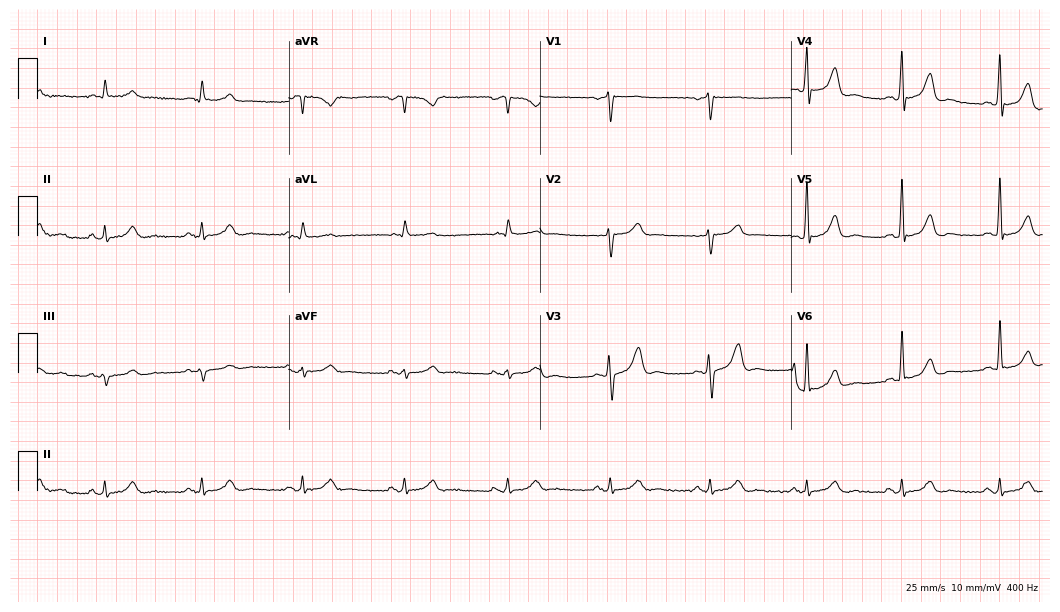
12-lead ECG from a 65-year-old female patient (10.2-second recording at 400 Hz). Recorded interpretation: within normal limits.